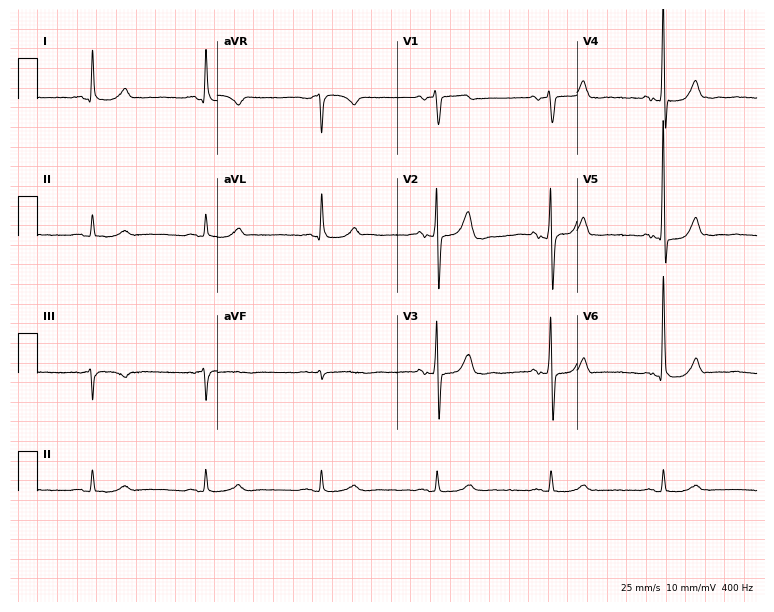
12-lead ECG (7.3-second recording at 400 Hz) from a 70-year-old man. Screened for six findings — first-degree AV block, right bundle branch block, left bundle branch block, sinus bradycardia, atrial fibrillation, sinus tachycardia — none is recorded. Findings outside these six are not listed.